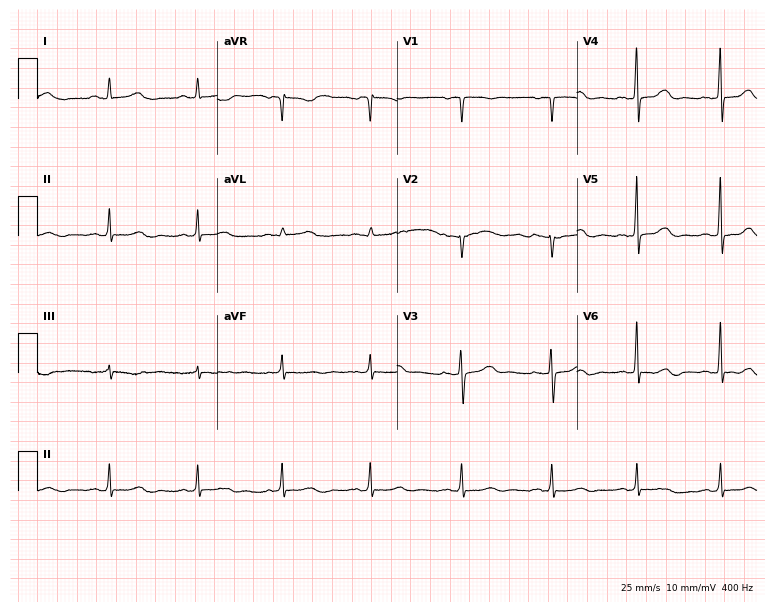
Standard 12-lead ECG recorded from a woman, 39 years old. Read as a normal ECG.